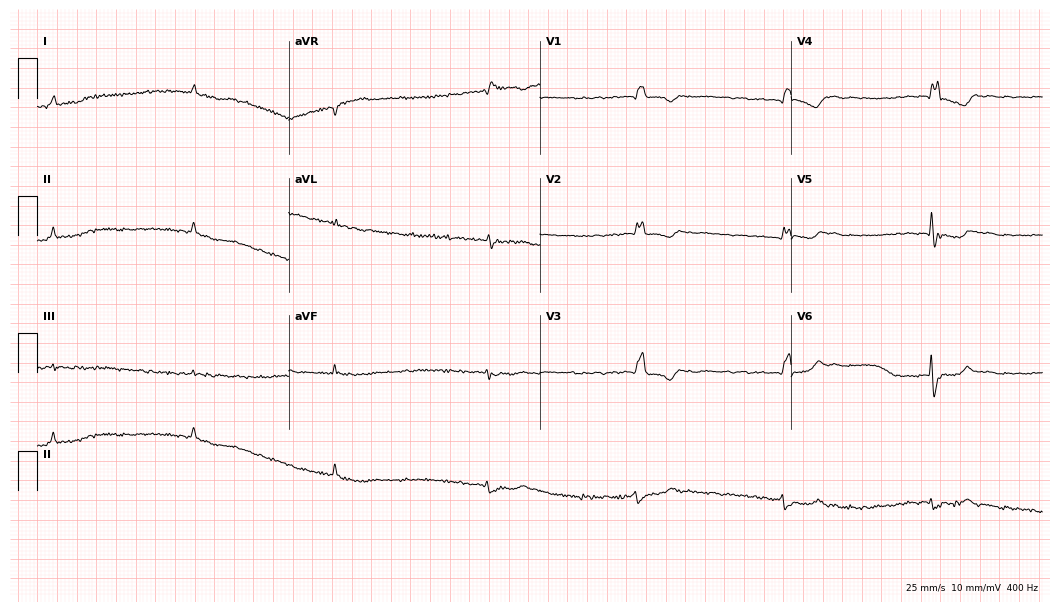
12-lead ECG from a female patient, 73 years old (10.2-second recording at 400 Hz). No first-degree AV block, right bundle branch block (RBBB), left bundle branch block (LBBB), sinus bradycardia, atrial fibrillation (AF) or sinus tachycardia recorded for this tracing.